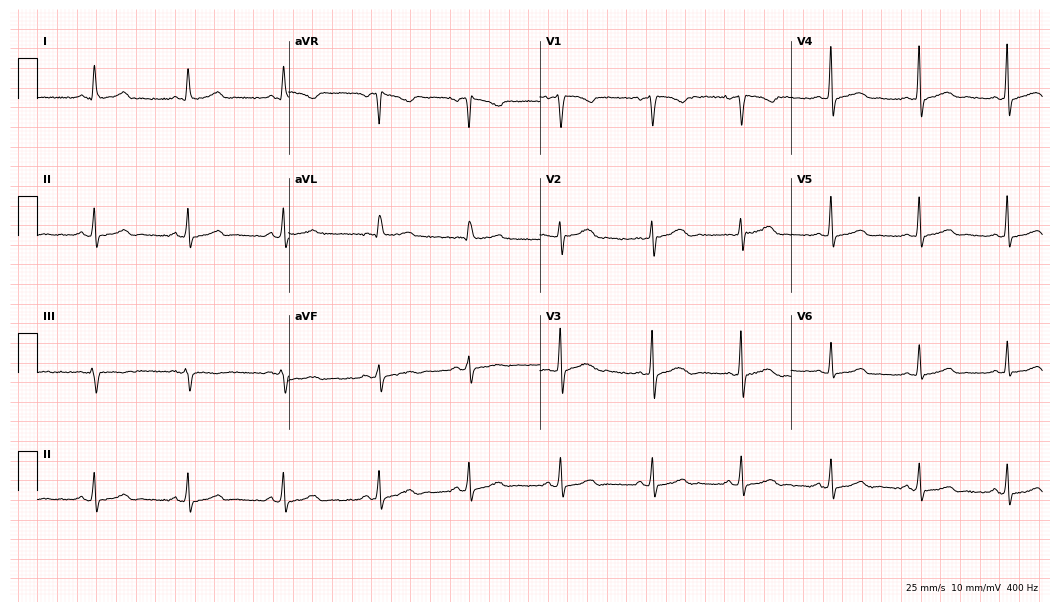
12-lead ECG (10.2-second recording at 400 Hz) from a 41-year-old female. Screened for six findings — first-degree AV block, right bundle branch block (RBBB), left bundle branch block (LBBB), sinus bradycardia, atrial fibrillation (AF), sinus tachycardia — none is recorded. Other findings, if any, are not listed.